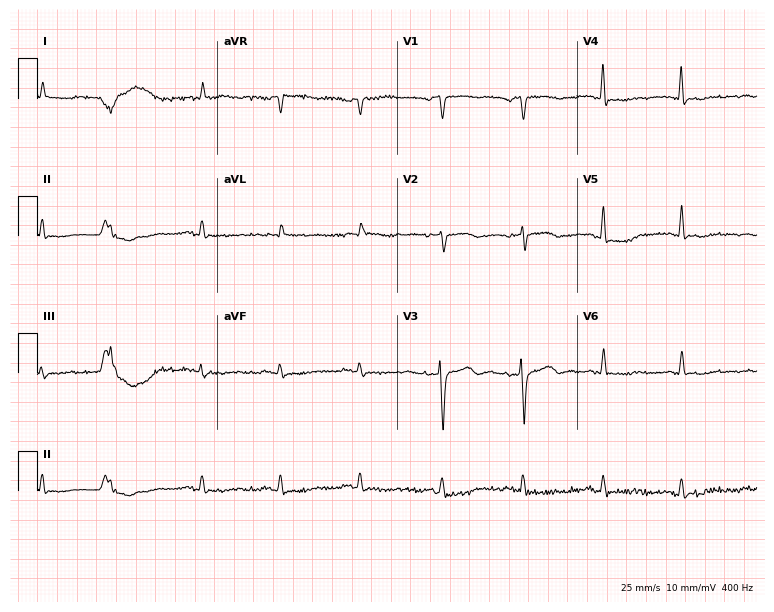
12-lead ECG from a 76-year-old female patient (7.3-second recording at 400 Hz). No first-degree AV block, right bundle branch block, left bundle branch block, sinus bradycardia, atrial fibrillation or sinus tachycardia recorded for this tracing.